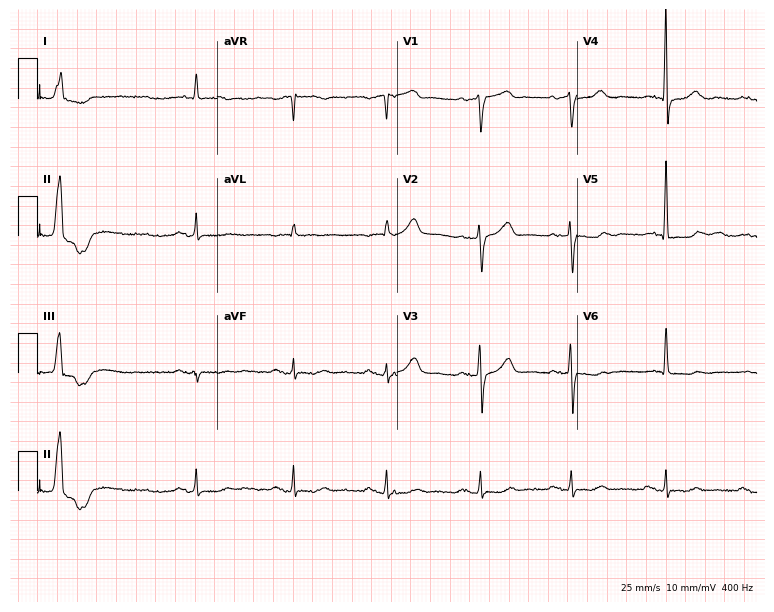
12-lead ECG (7.3-second recording at 400 Hz) from an 83-year-old male. Labelled as a normal ECG.